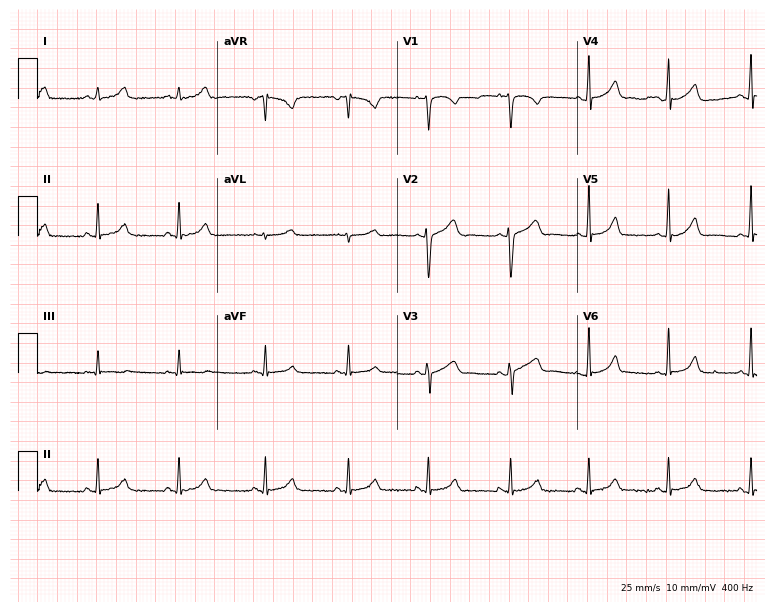
ECG — a 26-year-old female patient. Labelled as a normal ECG.